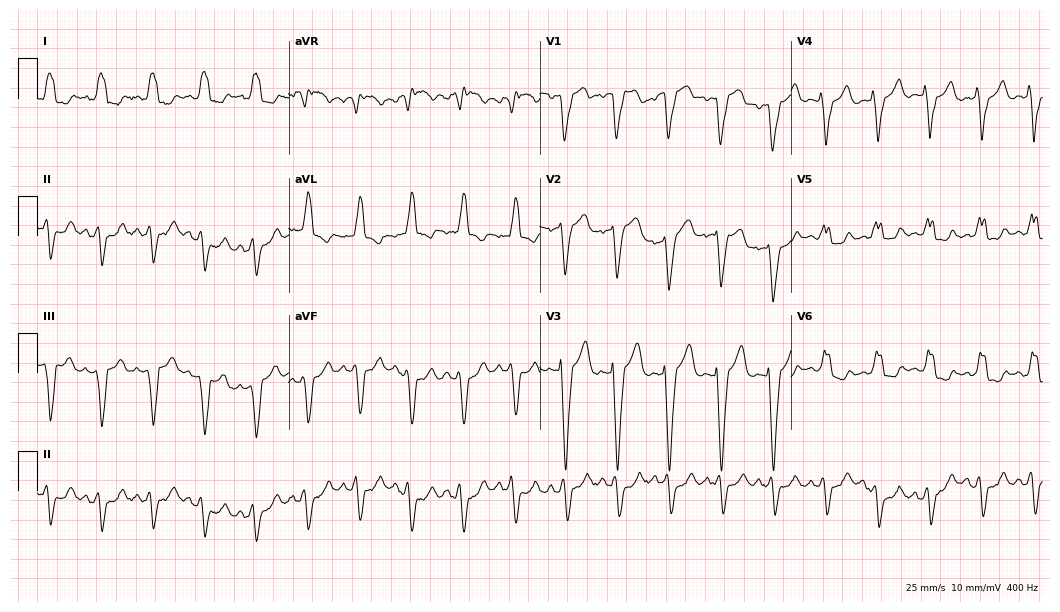
ECG — a female patient, 54 years old. Findings include left bundle branch block, sinus tachycardia (a sinus rate of 100 beats per minute or more).